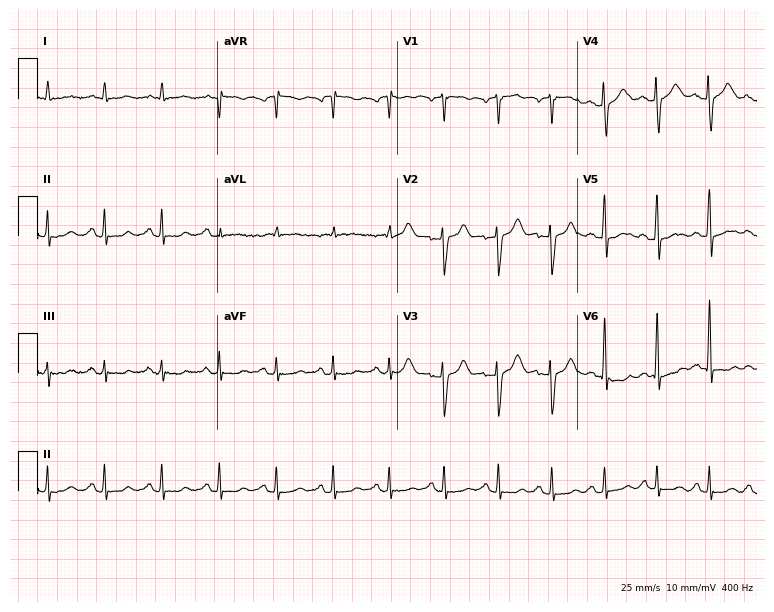
Resting 12-lead electrocardiogram. Patient: a 41-year-old man. The tracing shows sinus tachycardia (a sinus rate of 100 beats per minute or more).